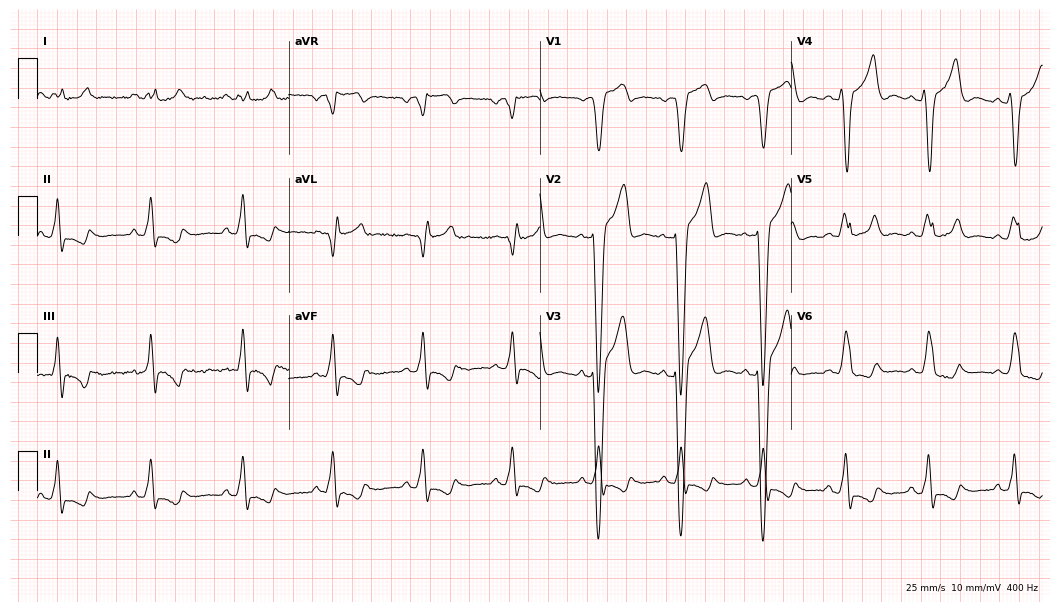
12-lead ECG from a female, 47 years old. Shows left bundle branch block (LBBB).